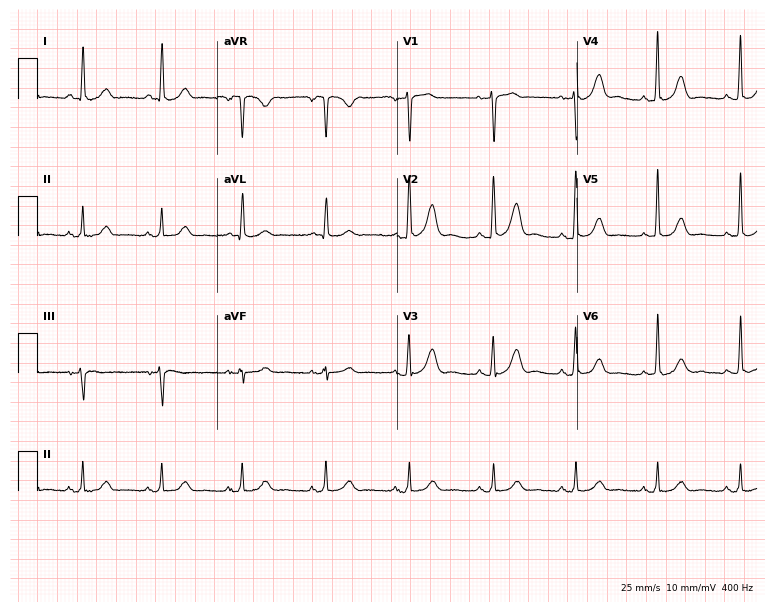
Resting 12-lead electrocardiogram. Patient: a 76-year-old female. Read as a normal ECG.